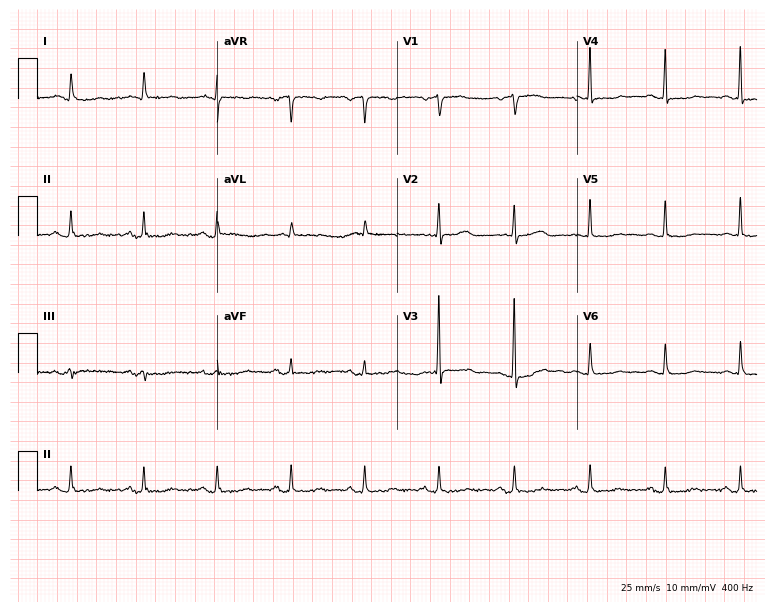
12-lead ECG from a woman, 76 years old (7.3-second recording at 400 Hz). No first-degree AV block, right bundle branch block (RBBB), left bundle branch block (LBBB), sinus bradycardia, atrial fibrillation (AF) or sinus tachycardia recorded for this tracing.